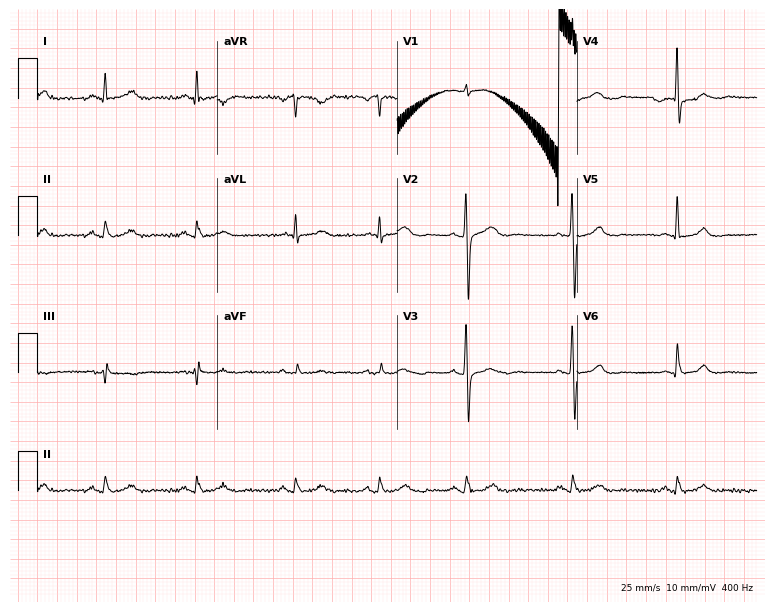
12-lead ECG from a woman, 52 years old. Recorded interpretation: within normal limits.